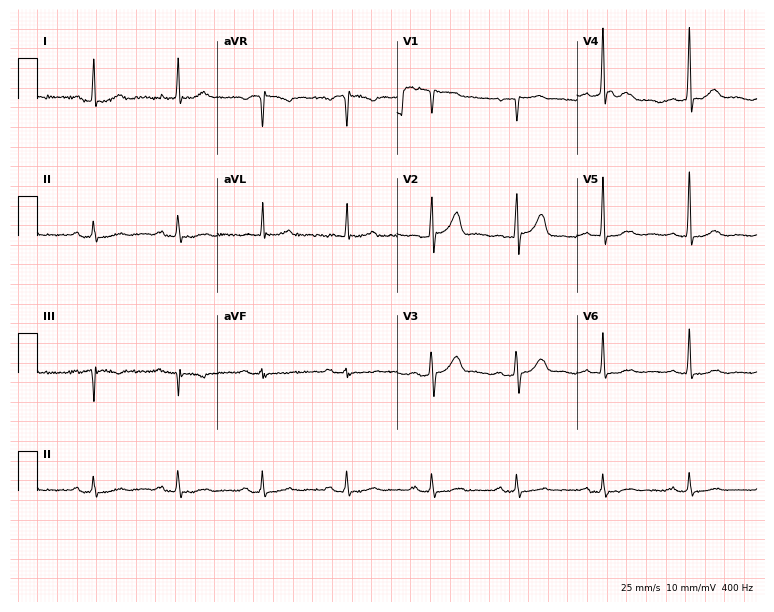
12-lead ECG from a male, 66 years old (7.3-second recording at 400 Hz). Recorded interpretation: within normal limits.